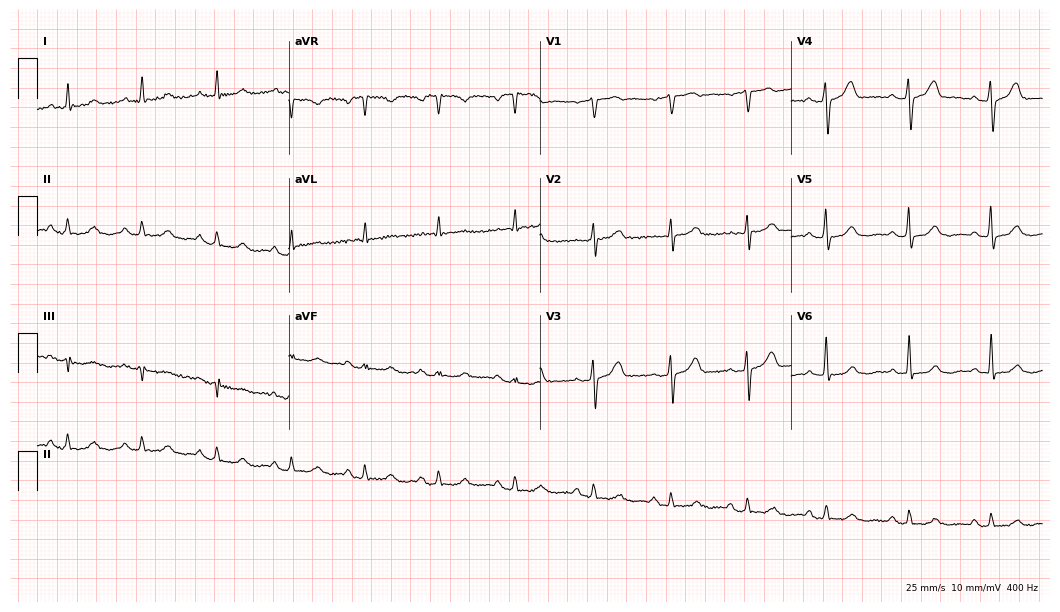
Standard 12-lead ECG recorded from a 64-year-old man (10.2-second recording at 400 Hz). None of these six findings is recorded: first-degree AV block, right bundle branch block (RBBB), left bundle branch block (LBBB), sinus bradycardia, atrial fibrillation (AF), sinus tachycardia. Findings outside these six are not listed.